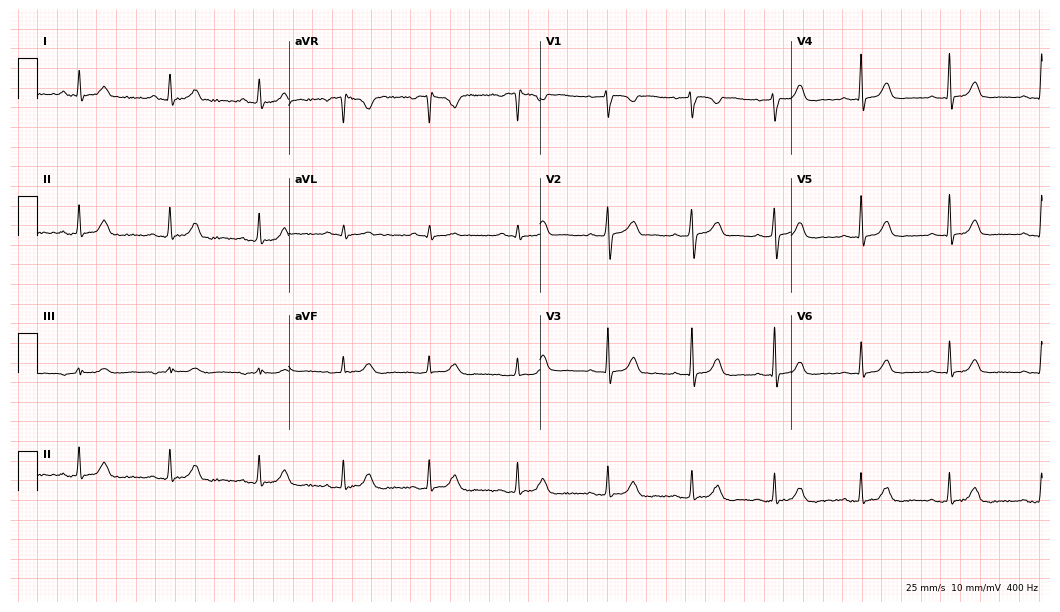
Standard 12-lead ECG recorded from a 37-year-old woman. Read as a normal ECG.